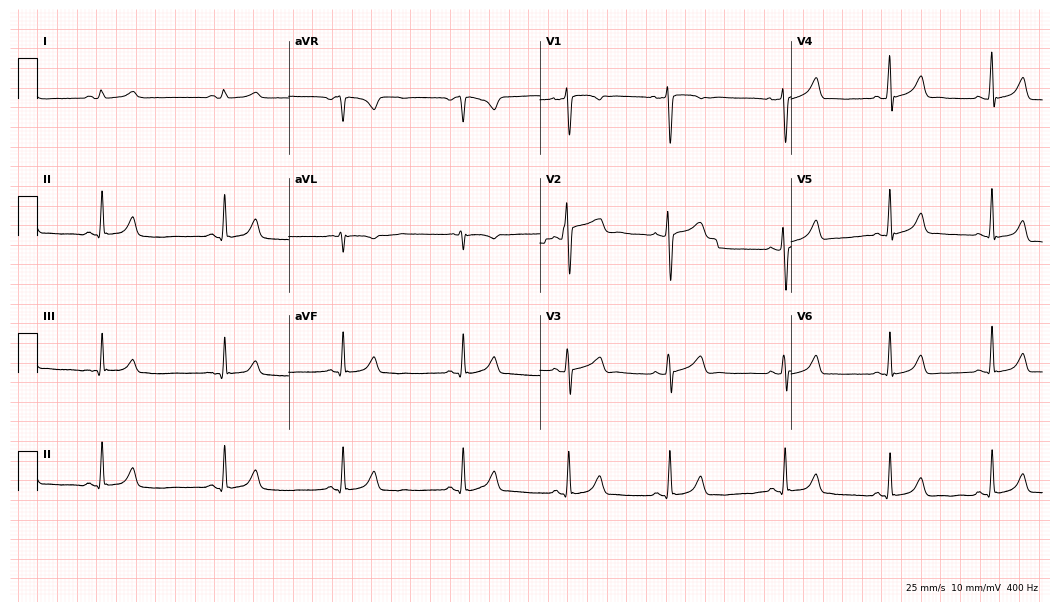
ECG (10.2-second recording at 400 Hz) — a 28-year-old female patient. Screened for six findings — first-degree AV block, right bundle branch block (RBBB), left bundle branch block (LBBB), sinus bradycardia, atrial fibrillation (AF), sinus tachycardia — none is recorded. Findings outside these six are not listed.